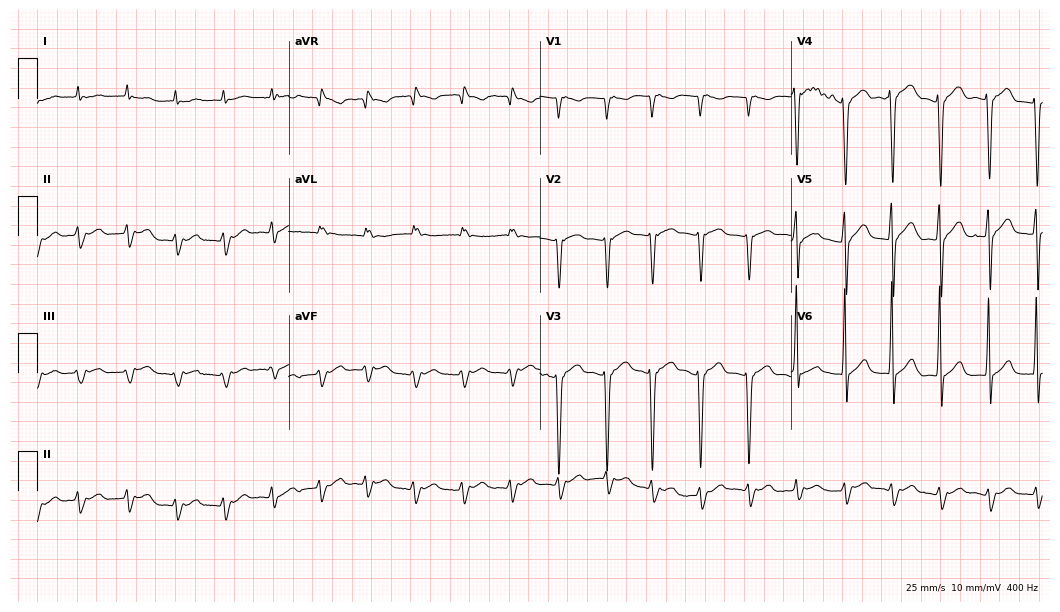
ECG — a man, 80 years old. Screened for six findings — first-degree AV block, right bundle branch block, left bundle branch block, sinus bradycardia, atrial fibrillation, sinus tachycardia — none is recorded.